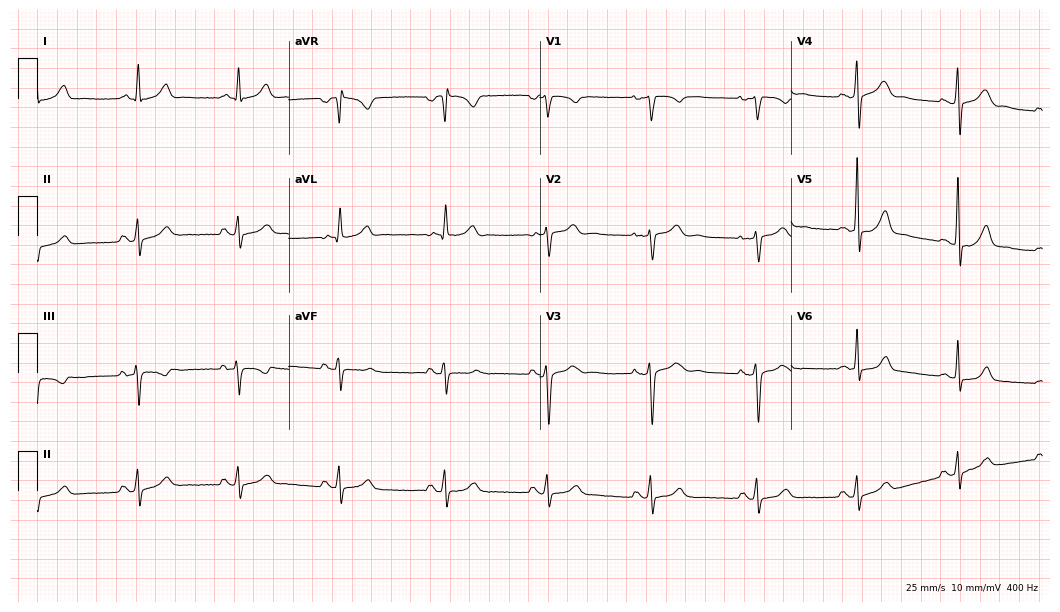
Standard 12-lead ECG recorded from a woman, 40 years old. None of these six findings is recorded: first-degree AV block, right bundle branch block (RBBB), left bundle branch block (LBBB), sinus bradycardia, atrial fibrillation (AF), sinus tachycardia.